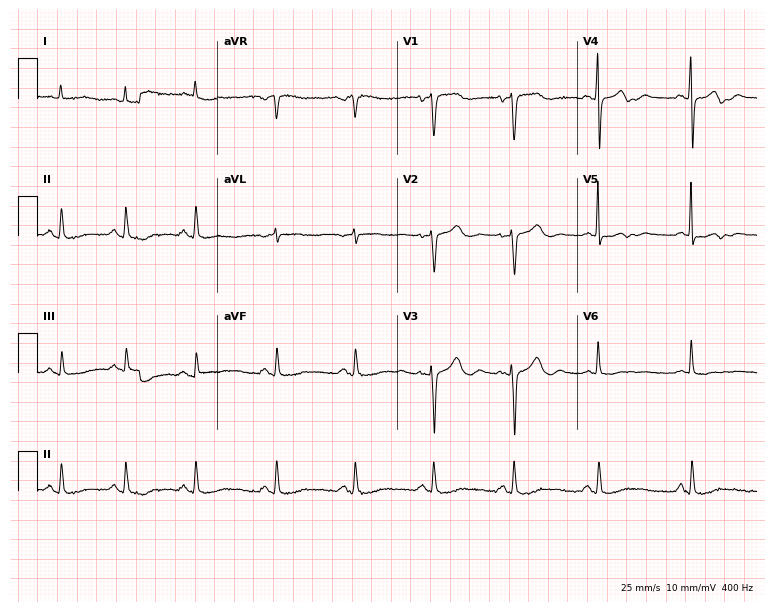
12-lead ECG from a 79-year-old woman. Screened for six findings — first-degree AV block, right bundle branch block (RBBB), left bundle branch block (LBBB), sinus bradycardia, atrial fibrillation (AF), sinus tachycardia — none is recorded.